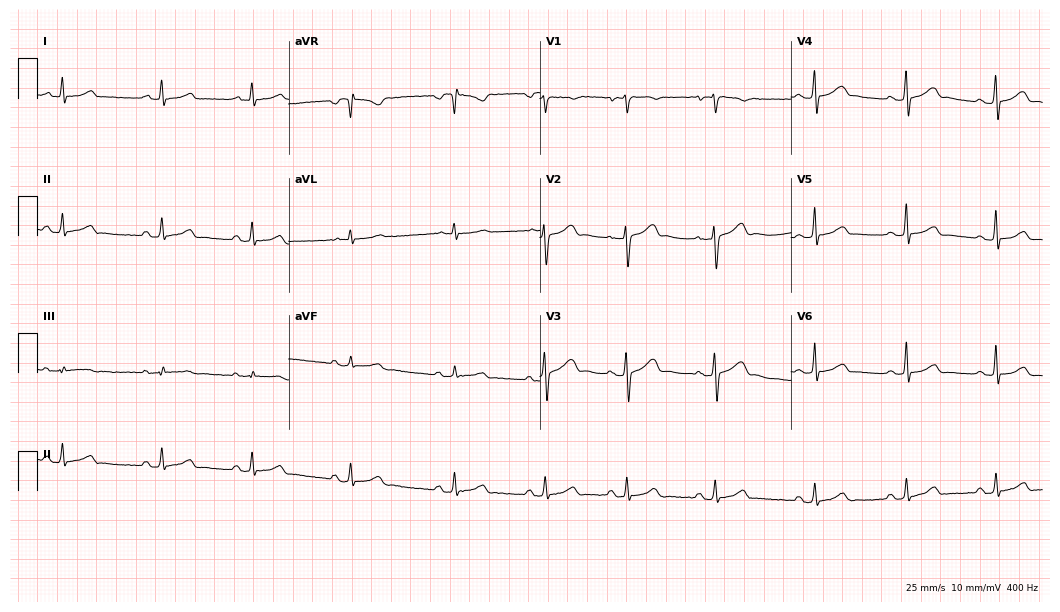
ECG — a 25-year-old female. Labelled as a normal ECG.